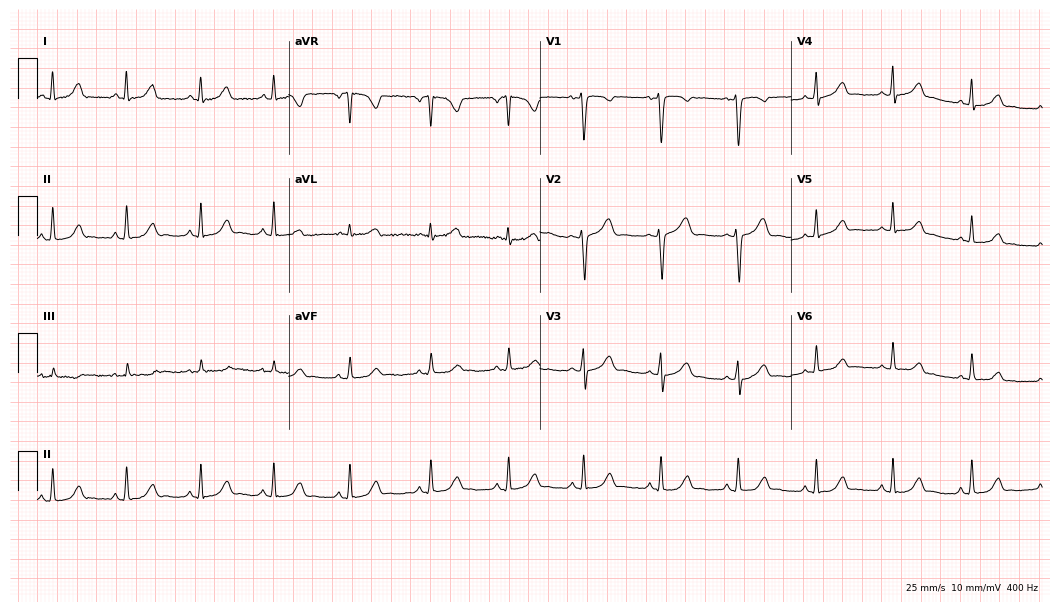
ECG (10.2-second recording at 400 Hz) — a woman, 26 years old. Screened for six findings — first-degree AV block, right bundle branch block, left bundle branch block, sinus bradycardia, atrial fibrillation, sinus tachycardia — none is recorded. Findings outside these six are not listed.